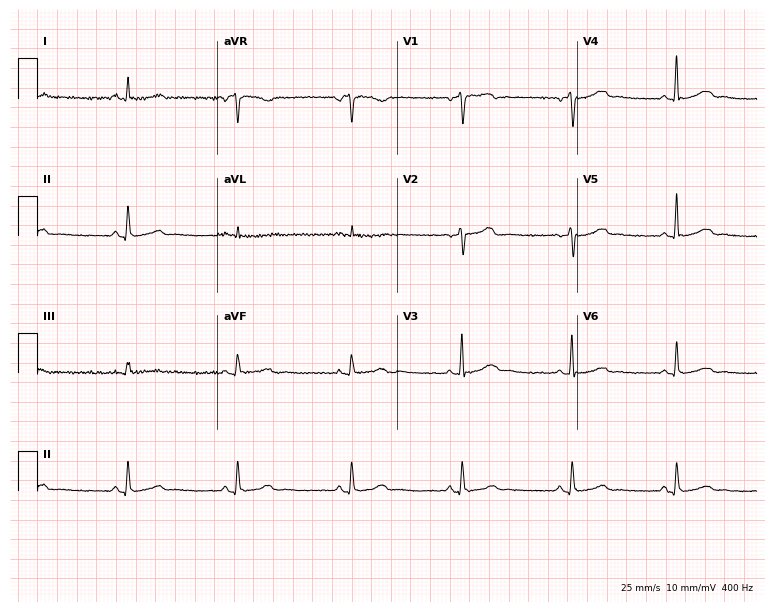
12-lead ECG (7.3-second recording at 400 Hz) from a female patient, 45 years old. Screened for six findings — first-degree AV block, right bundle branch block (RBBB), left bundle branch block (LBBB), sinus bradycardia, atrial fibrillation (AF), sinus tachycardia — none is recorded.